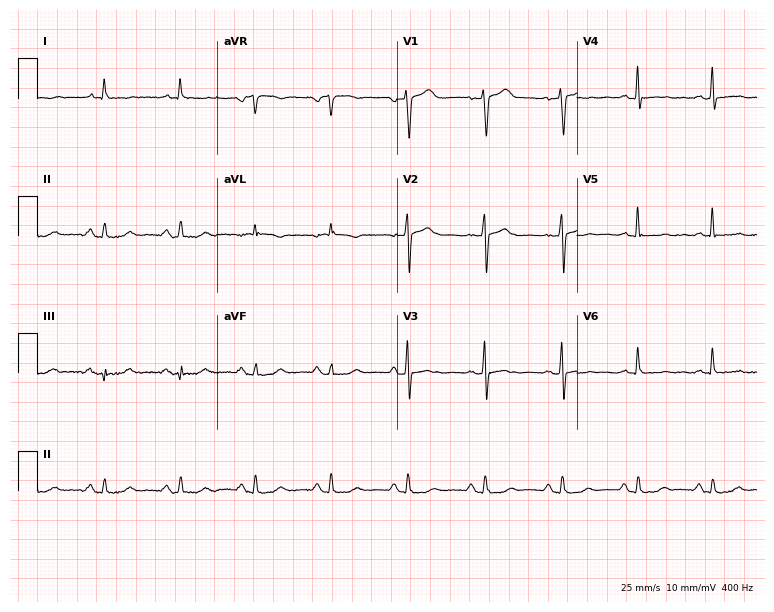
Standard 12-lead ECG recorded from a 74-year-old male (7.3-second recording at 400 Hz). None of these six findings is recorded: first-degree AV block, right bundle branch block, left bundle branch block, sinus bradycardia, atrial fibrillation, sinus tachycardia. Only these six findings were labelled.